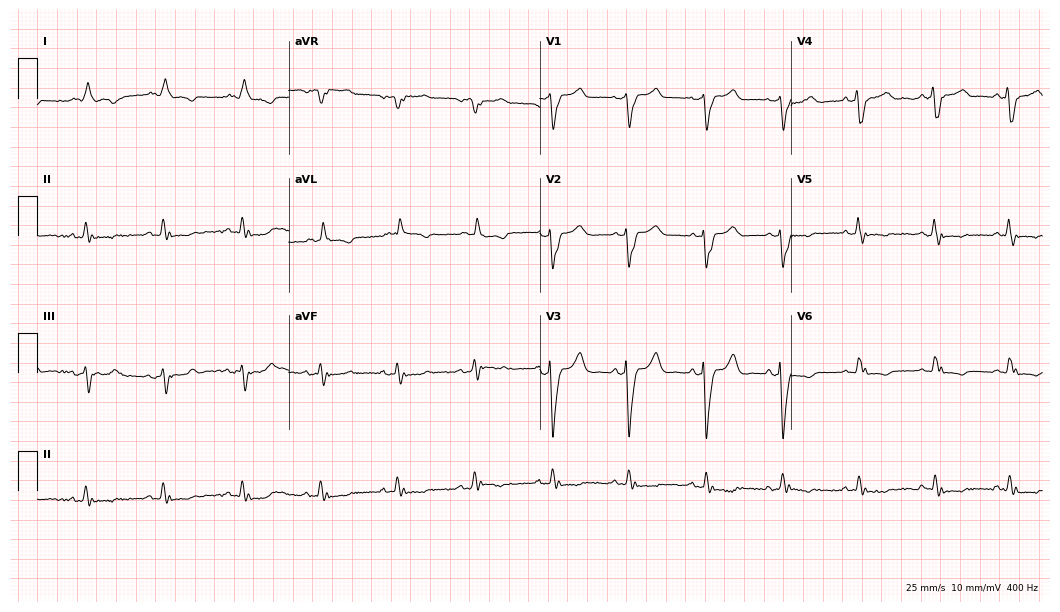
Electrocardiogram, a 61-year-old man. Of the six screened findings (first-degree AV block, right bundle branch block (RBBB), left bundle branch block (LBBB), sinus bradycardia, atrial fibrillation (AF), sinus tachycardia), none is recorded. Other findings, if any, are not listed.